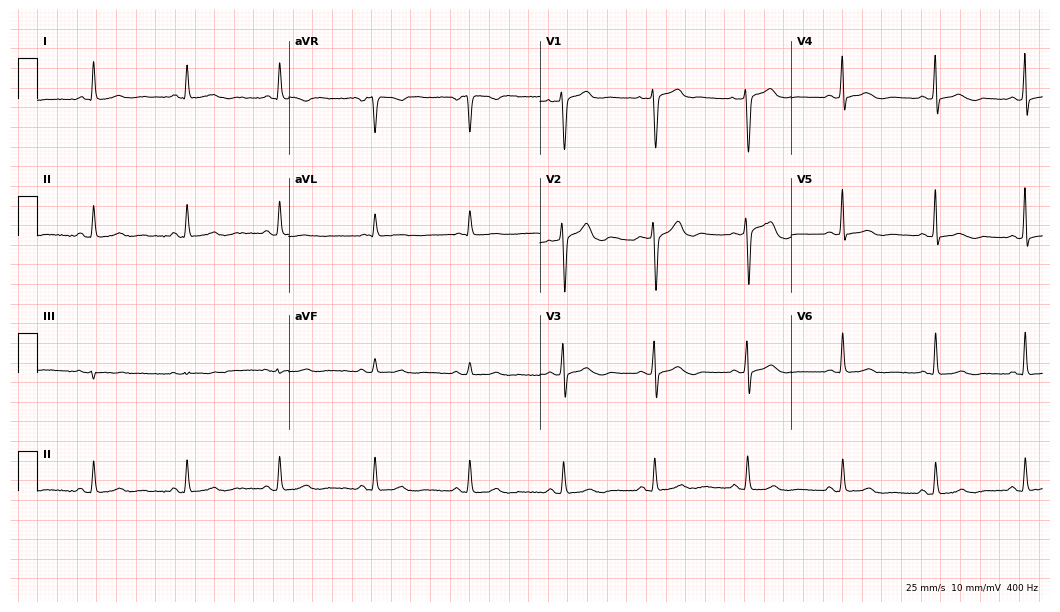
Standard 12-lead ECG recorded from a female, 64 years old (10.2-second recording at 400 Hz). Read as a normal ECG.